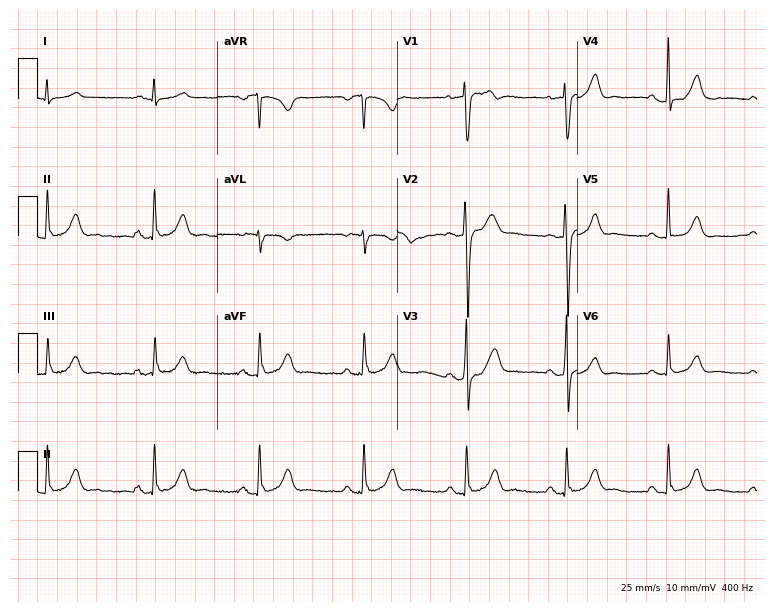
12-lead ECG from a male, 38 years old. Labelled as a normal ECG.